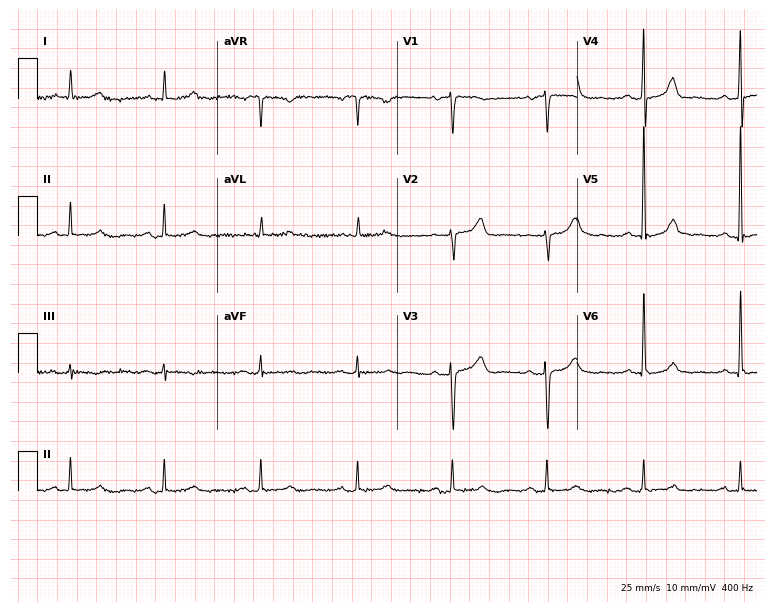
12-lead ECG from a 77-year-old woman. Recorded interpretation: within normal limits.